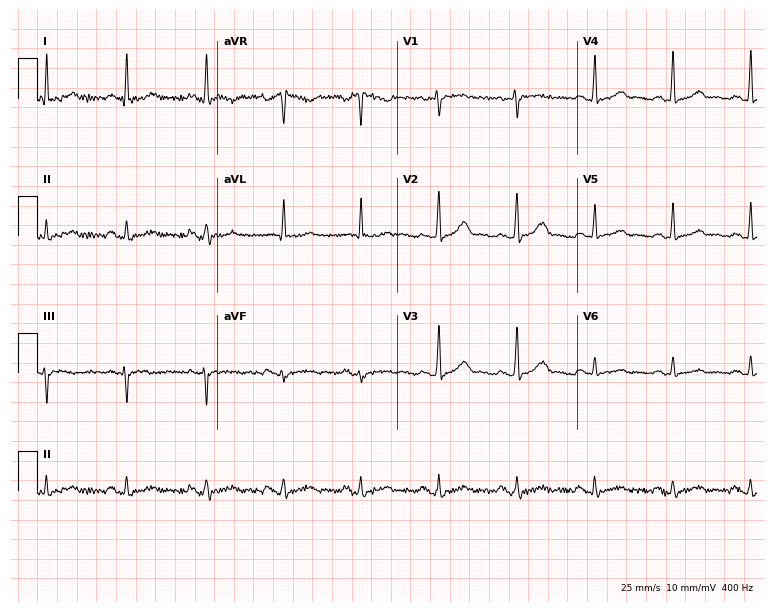
Electrocardiogram (7.3-second recording at 400 Hz), a woman, 44 years old. Of the six screened findings (first-degree AV block, right bundle branch block (RBBB), left bundle branch block (LBBB), sinus bradycardia, atrial fibrillation (AF), sinus tachycardia), none is recorded.